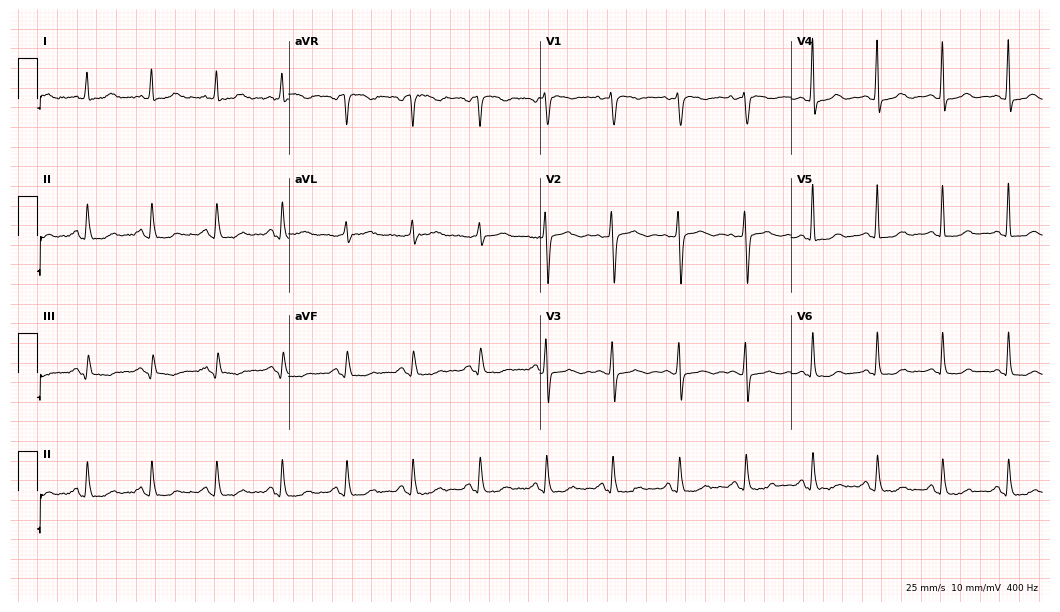
Resting 12-lead electrocardiogram. Patient: a female, 57 years old. None of these six findings is recorded: first-degree AV block, right bundle branch block, left bundle branch block, sinus bradycardia, atrial fibrillation, sinus tachycardia. Other findings, if any, are not listed.